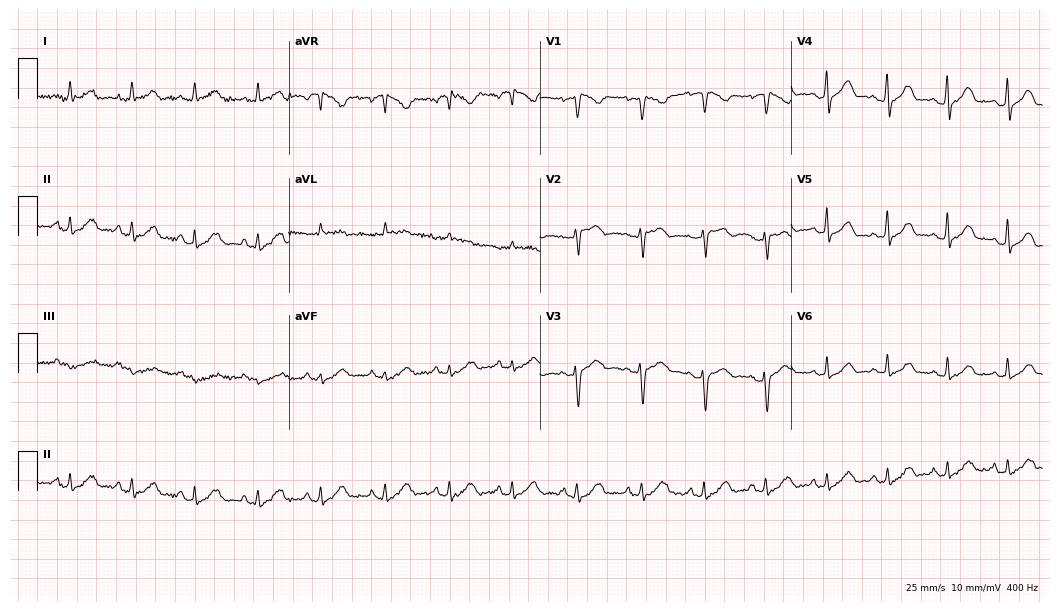
Resting 12-lead electrocardiogram (10.2-second recording at 400 Hz). Patient: a woman, 37 years old. Read as a normal ECG.